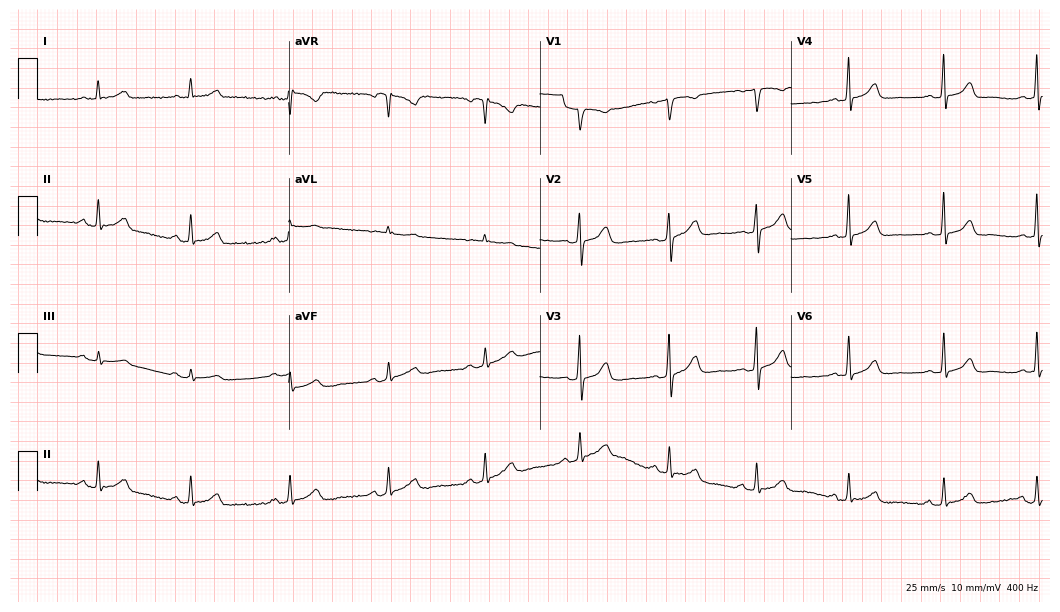
ECG (10.2-second recording at 400 Hz) — a 46-year-old female patient. Labelled as a normal ECG.